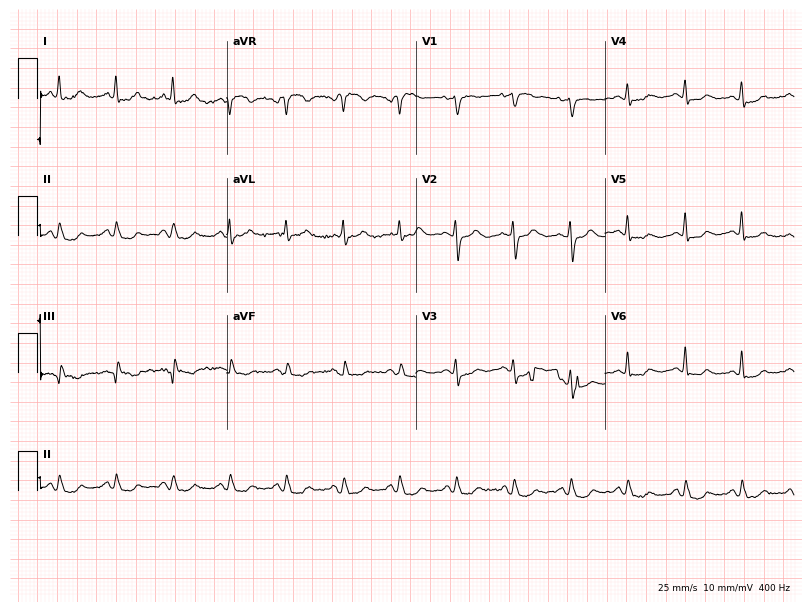
Standard 12-lead ECG recorded from an 82-year-old woman. None of these six findings is recorded: first-degree AV block, right bundle branch block (RBBB), left bundle branch block (LBBB), sinus bradycardia, atrial fibrillation (AF), sinus tachycardia.